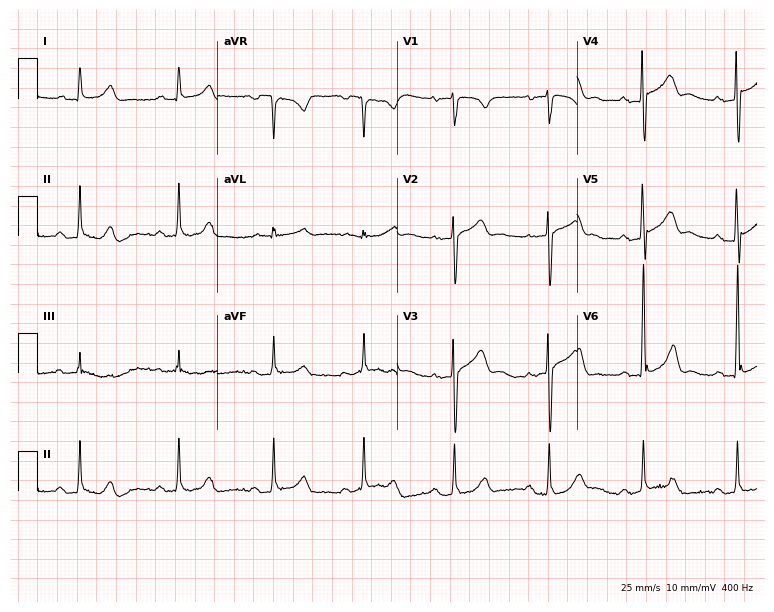
Standard 12-lead ECG recorded from a 43-year-old male (7.3-second recording at 400 Hz). None of these six findings is recorded: first-degree AV block, right bundle branch block, left bundle branch block, sinus bradycardia, atrial fibrillation, sinus tachycardia. Other findings, if any, are not listed.